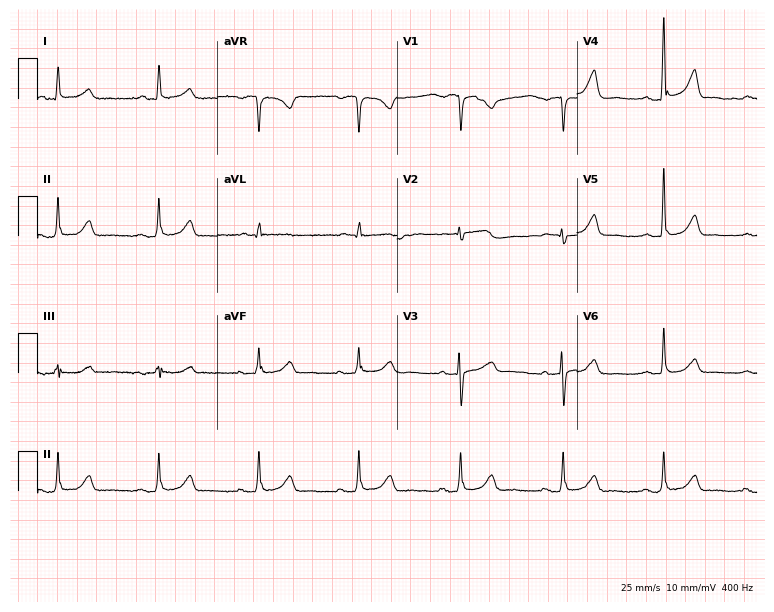
Standard 12-lead ECG recorded from a 56-year-old woman. None of these six findings is recorded: first-degree AV block, right bundle branch block, left bundle branch block, sinus bradycardia, atrial fibrillation, sinus tachycardia.